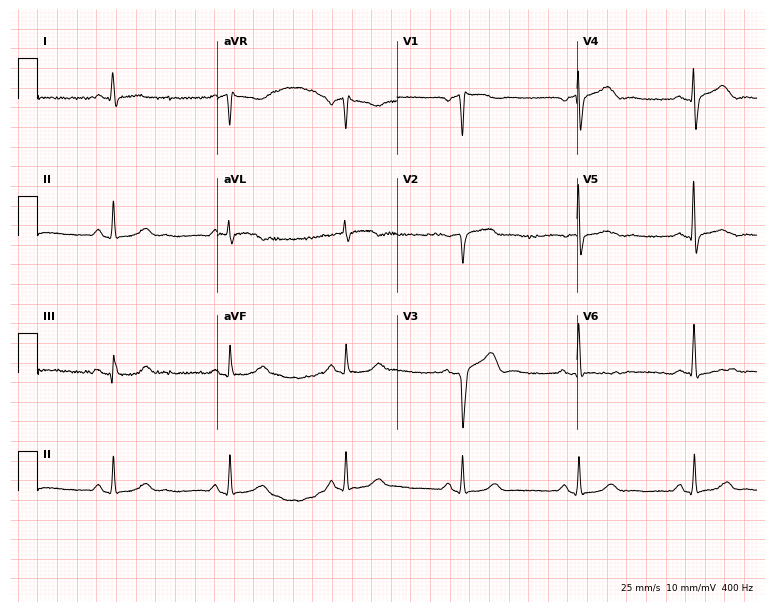
Resting 12-lead electrocardiogram. Patient: a male, 73 years old. None of these six findings is recorded: first-degree AV block, right bundle branch block, left bundle branch block, sinus bradycardia, atrial fibrillation, sinus tachycardia. Other findings, if any, are not listed.